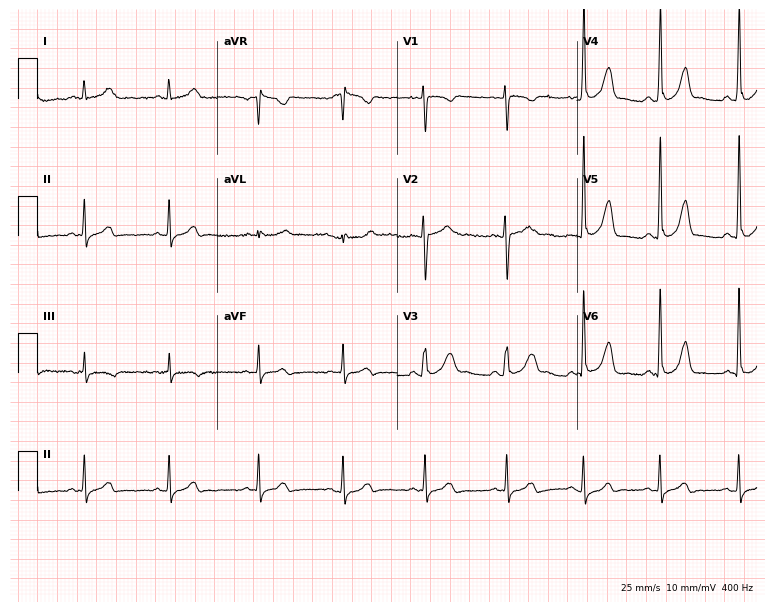
12-lead ECG from a 21-year-old female. Labelled as a normal ECG.